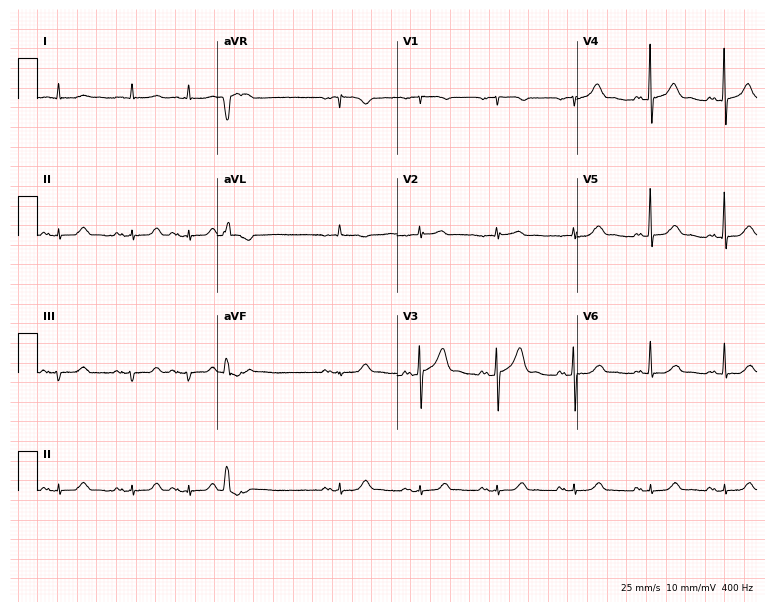
Resting 12-lead electrocardiogram. Patient: an 84-year-old man. None of these six findings is recorded: first-degree AV block, right bundle branch block, left bundle branch block, sinus bradycardia, atrial fibrillation, sinus tachycardia. Findings outside these six are not listed.